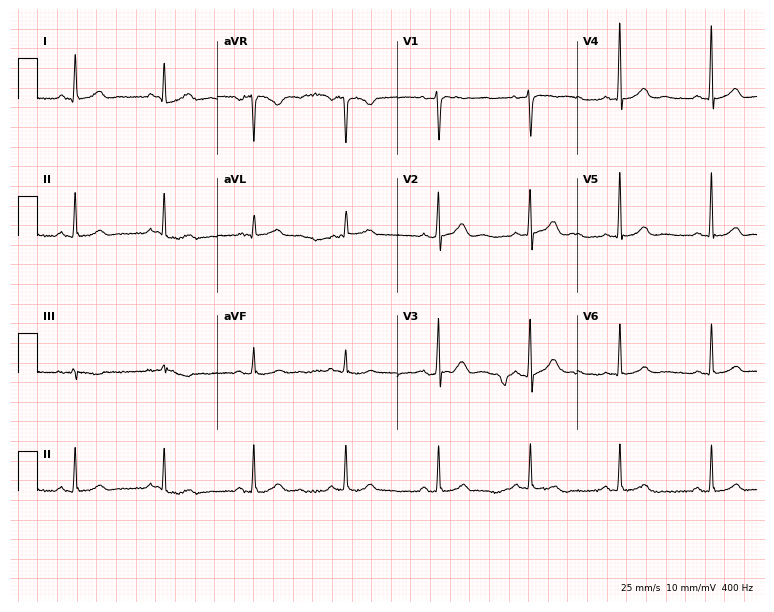
12-lead ECG (7.3-second recording at 400 Hz) from a female, 40 years old. Screened for six findings — first-degree AV block, right bundle branch block (RBBB), left bundle branch block (LBBB), sinus bradycardia, atrial fibrillation (AF), sinus tachycardia — none is recorded.